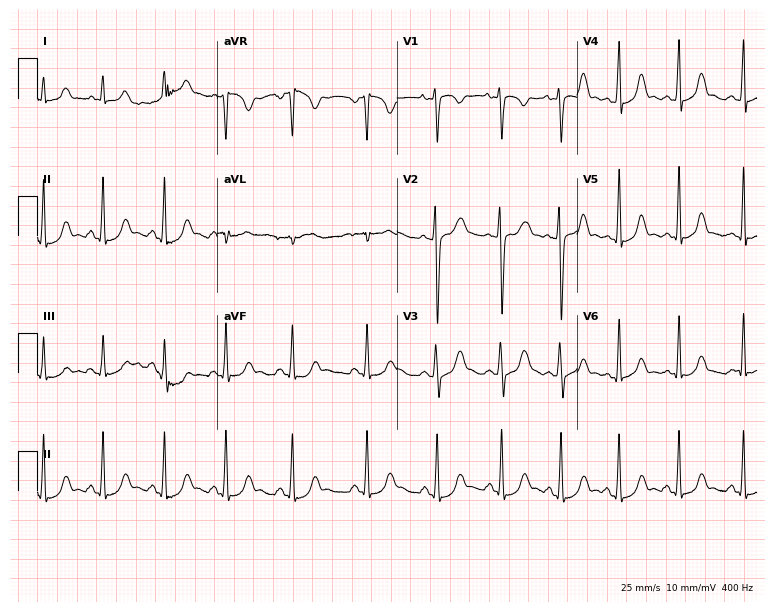
ECG — a 28-year-old female patient. Screened for six findings — first-degree AV block, right bundle branch block (RBBB), left bundle branch block (LBBB), sinus bradycardia, atrial fibrillation (AF), sinus tachycardia — none is recorded.